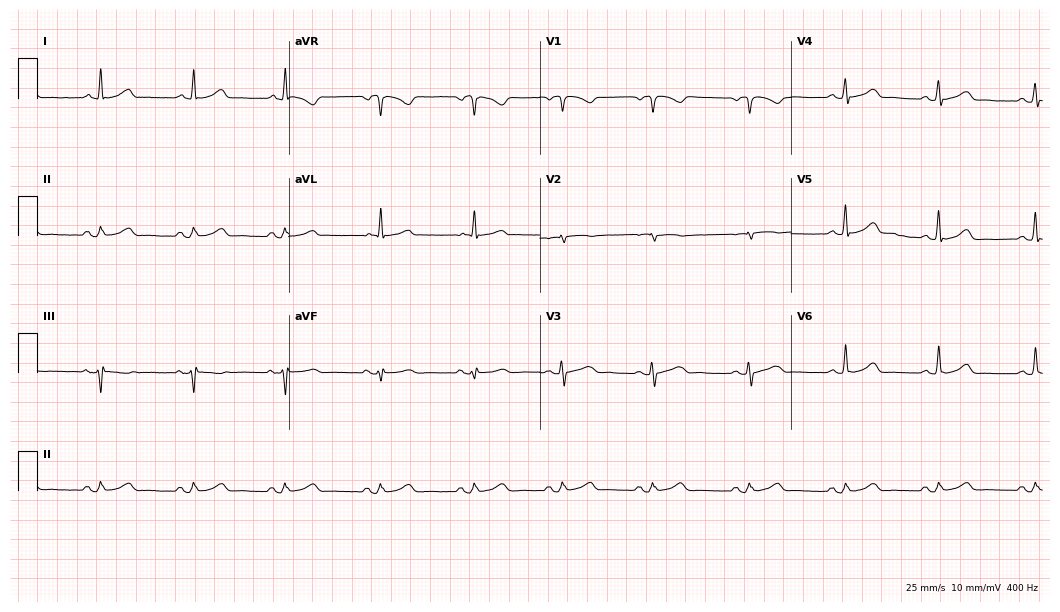
12-lead ECG from a woman, 54 years old. Recorded interpretation: within normal limits.